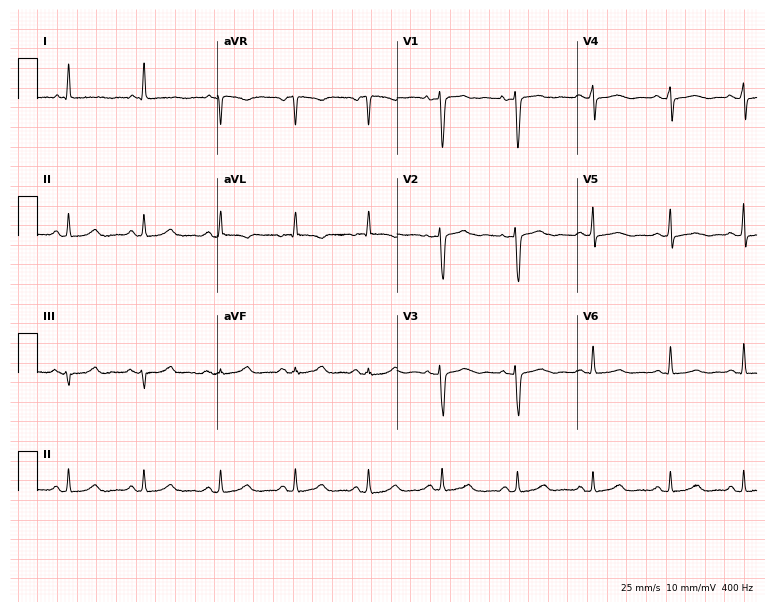
12-lead ECG from a female, 62 years old (7.3-second recording at 400 Hz). No first-degree AV block, right bundle branch block, left bundle branch block, sinus bradycardia, atrial fibrillation or sinus tachycardia recorded for this tracing.